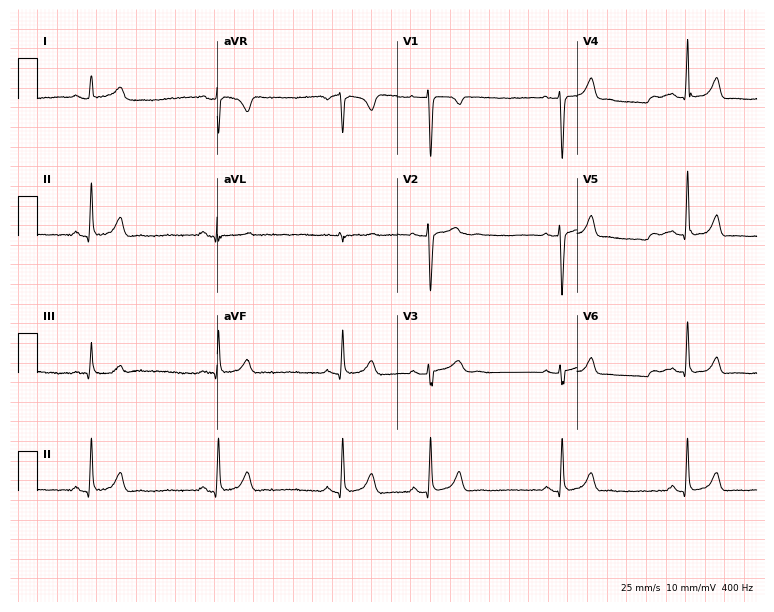
12-lead ECG from a 19-year-old female. No first-degree AV block, right bundle branch block (RBBB), left bundle branch block (LBBB), sinus bradycardia, atrial fibrillation (AF) or sinus tachycardia recorded for this tracing. Findings outside these six are not listed.